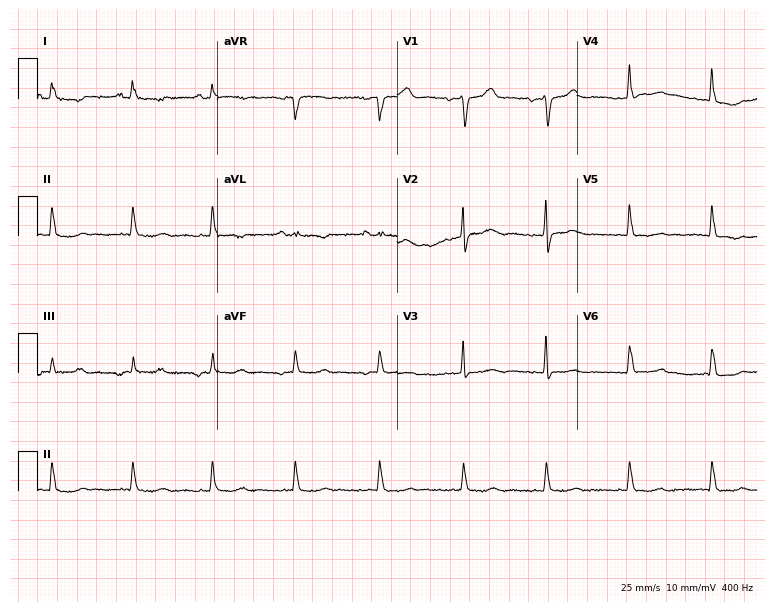
12-lead ECG from a 77-year-old woman. Screened for six findings — first-degree AV block, right bundle branch block (RBBB), left bundle branch block (LBBB), sinus bradycardia, atrial fibrillation (AF), sinus tachycardia — none is recorded.